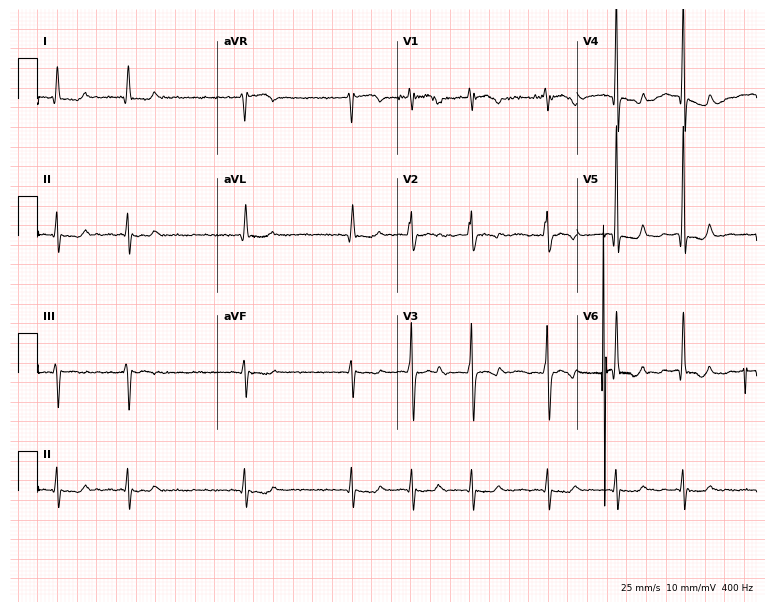
12-lead ECG from an 82-year-old man. Findings include atrial fibrillation (AF).